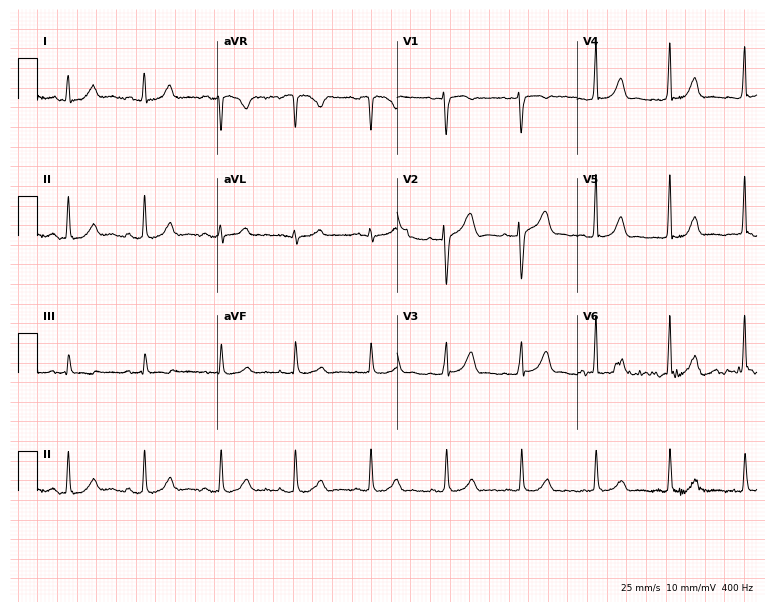
Electrocardiogram (7.3-second recording at 400 Hz), a female, 42 years old. Overall reading on record: normal ECG.